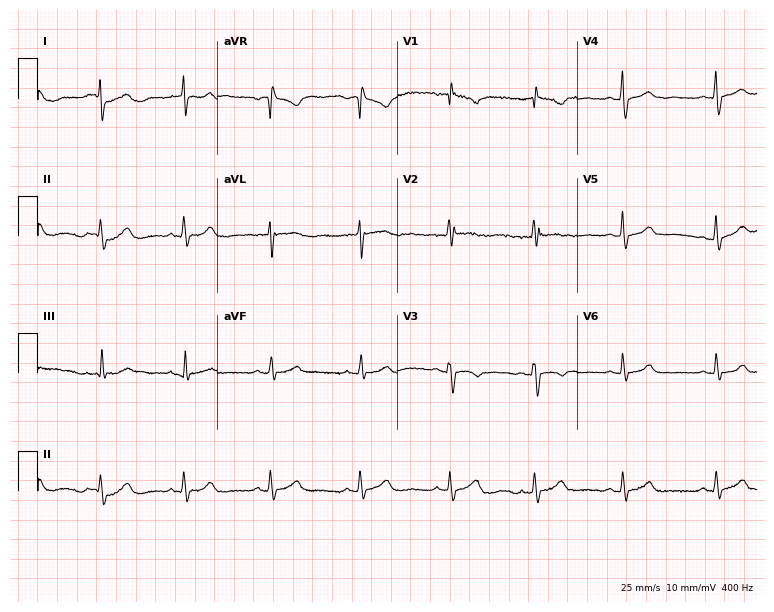
Electrocardiogram, a female, 22 years old. Of the six screened findings (first-degree AV block, right bundle branch block (RBBB), left bundle branch block (LBBB), sinus bradycardia, atrial fibrillation (AF), sinus tachycardia), none is recorded.